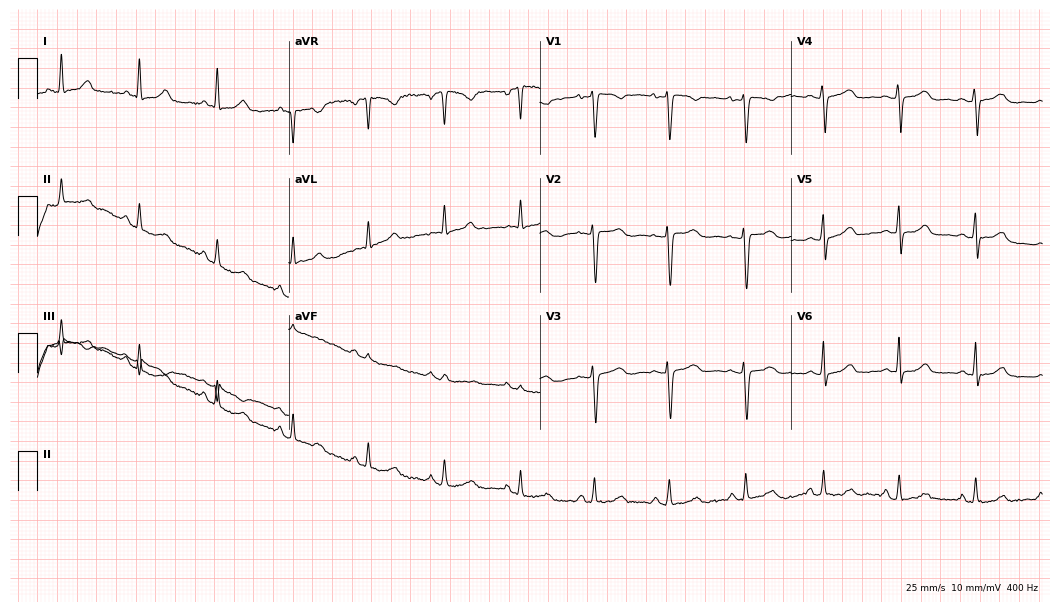
Standard 12-lead ECG recorded from a female, 42 years old (10.2-second recording at 400 Hz). Read as a normal ECG.